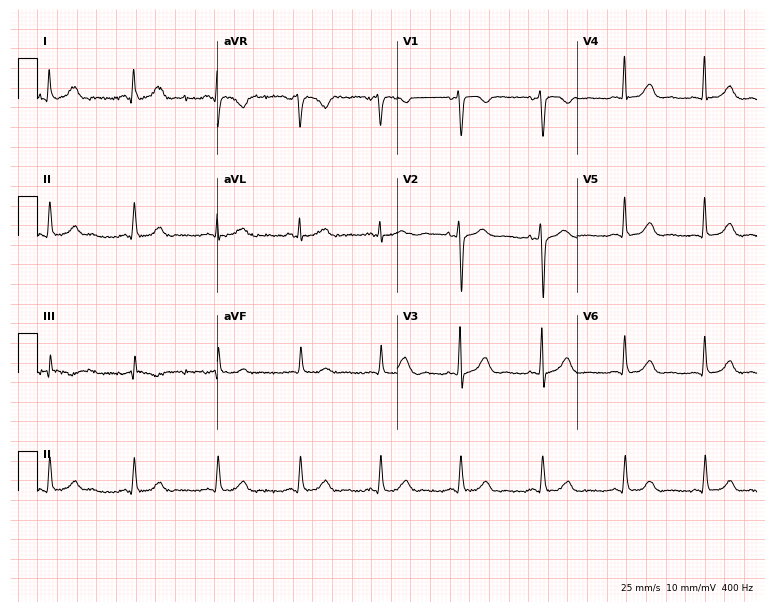
Standard 12-lead ECG recorded from a 57-year-old female patient. Read as a normal ECG.